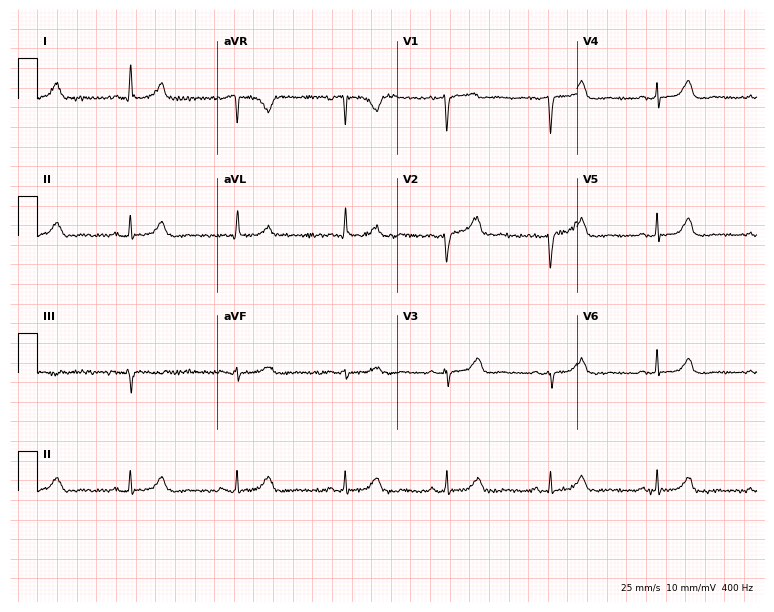
Resting 12-lead electrocardiogram (7.3-second recording at 400 Hz). Patient: a woman, 59 years old. None of these six findings is recorded: first-degree AV block, right bundle branch block, left bundle branch block, sinus bradycardia, atrial fibrillation, sinus tachycardia. Other findings, if any, are not listed.